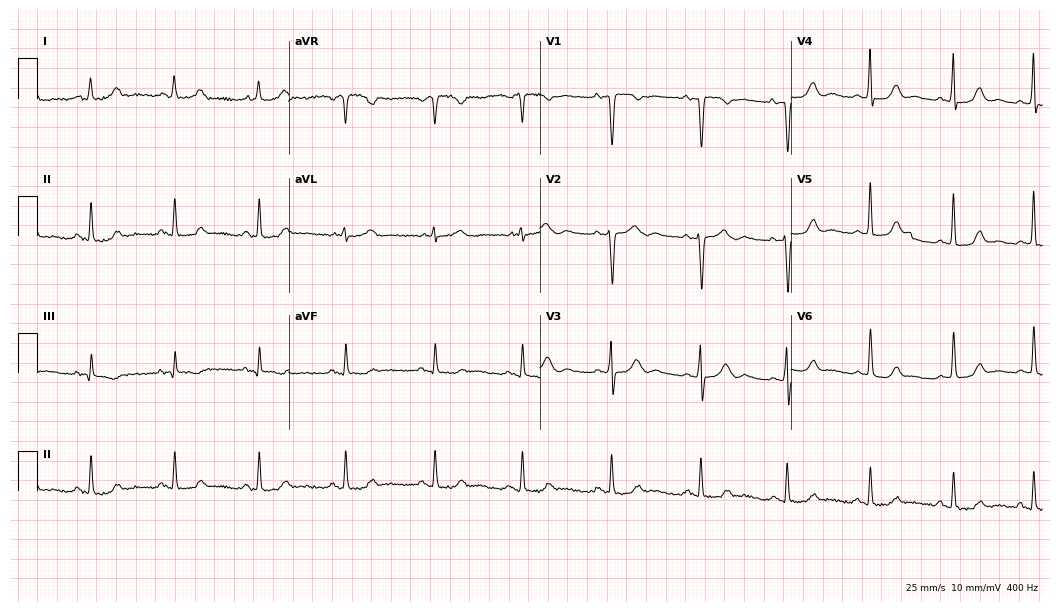
Standard 12-lead ECG recorded from a 57-year-old woman (10.2-second recording at 400 Hz). None of these six findings is recorded: first-degree AV block, right bundle branch block, left bundle branch block, sinus bradycardia, atrial fibrillation, sinus tachycardia.